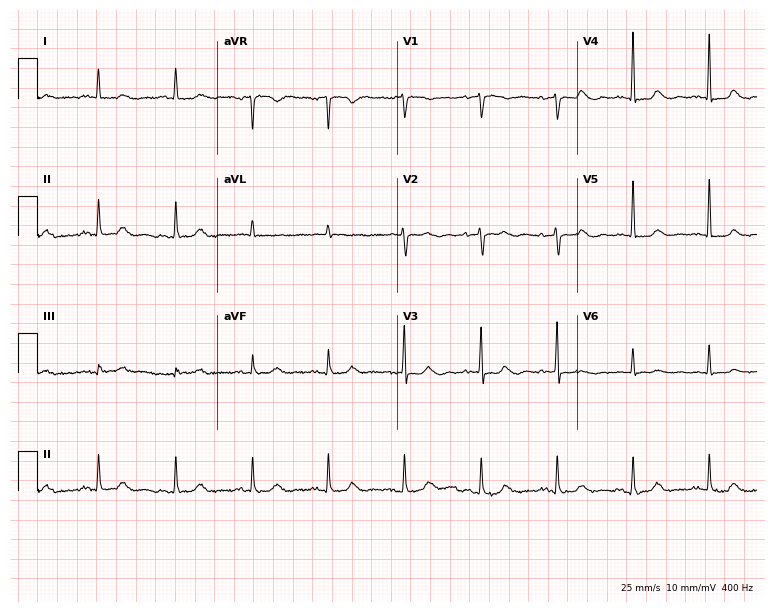
Standard 12-lead ECG recorded from a woman, 83 years old (7.3-second recording at 400 Hz). None of these six findings is recorded: first-degree AV block, right bundle branch block (RBBB), left bundle branch block (LBBB), sinus bradycardia, atrial fibrillation (AF), sinus tachycardia. Only these six findings were labelled.